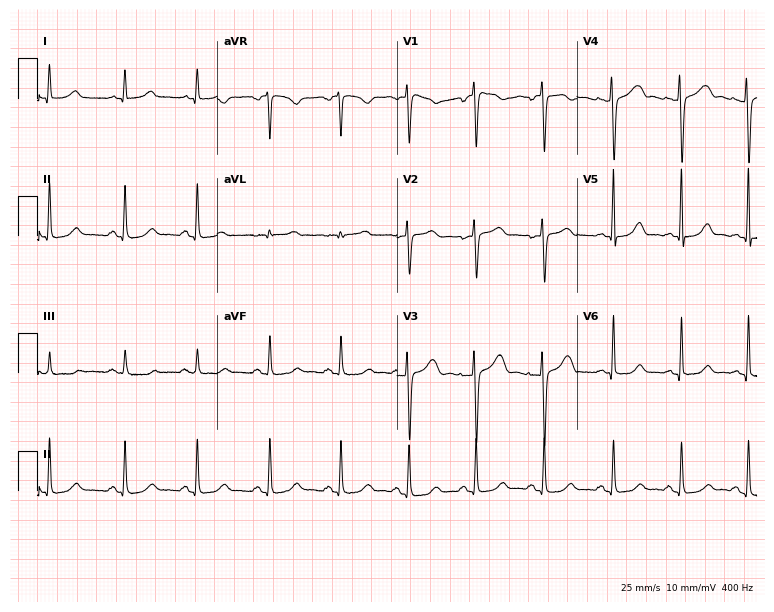
12-lead ECG from a female patient, 30 years old. No first-degree AV block, right bundle branch block (RBBB), left bundle branch block (LBBB), sinus bradycardia, atrial fibrillation (AF) or sinus tachycardia recorded for this tracing.